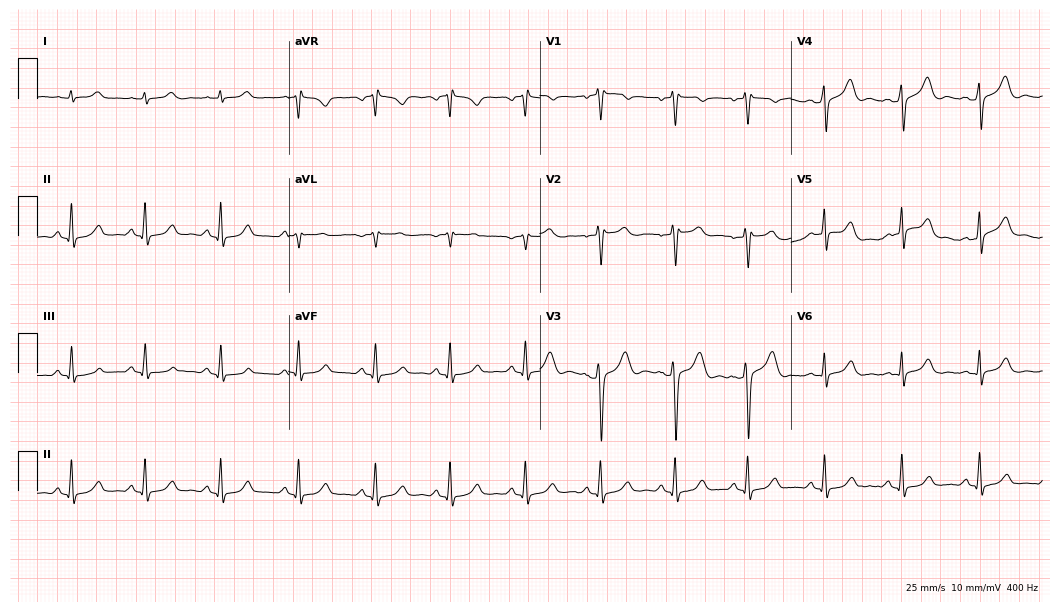
Standard 12-lead ECG recorded from a male, 41 years old (10.2-second recording at 400 Hz). Read as a normal ECG.